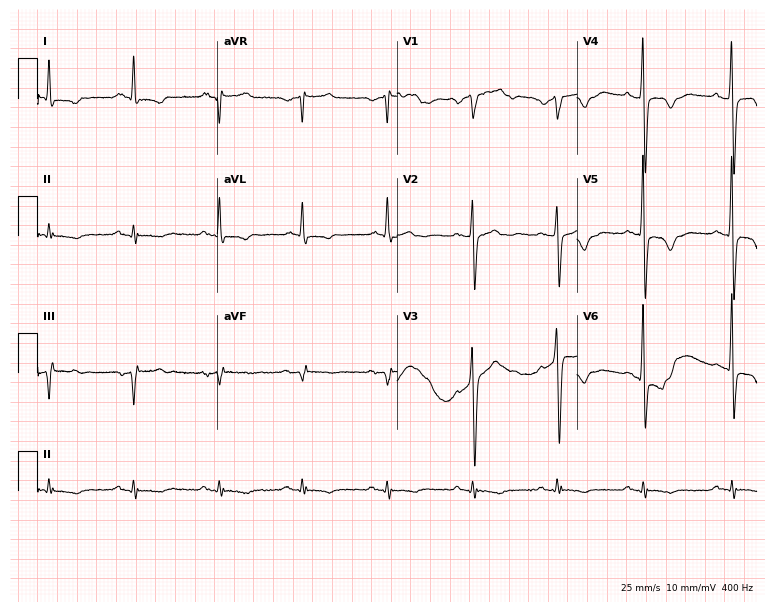
ECG — a male patient, 73 years old. Screened for six findings — first-degree AV block, right bundle branch block, left bundle branch block, sinus bradycardia, atrial fibrillation, sinus tachycardia — none is recorded. Other findings, if any, are not listed.